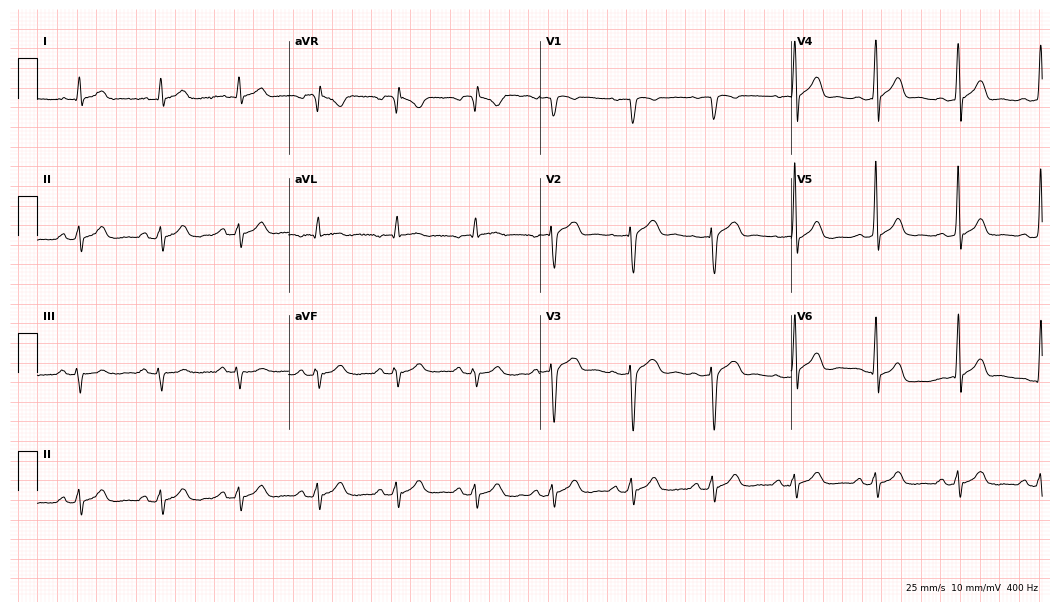
ECG — a 41-year-old male. Labelled as a normal ECG.